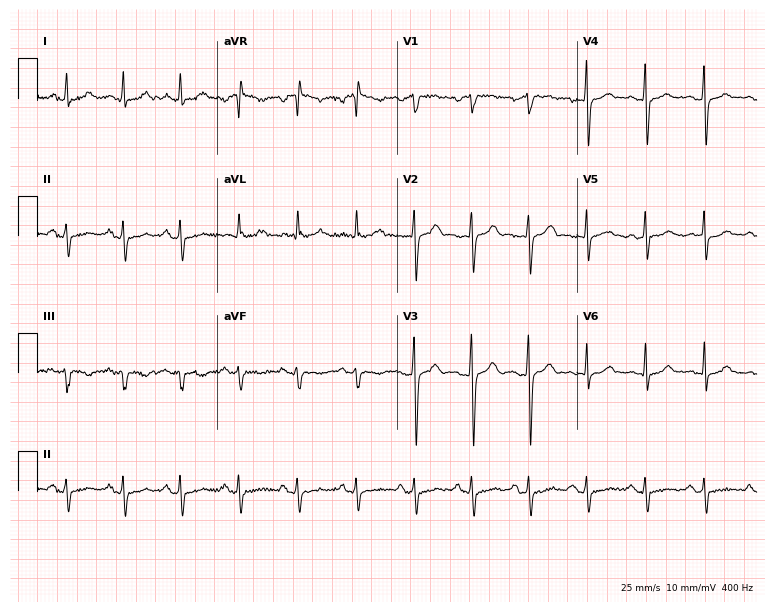
12-lead ECG from a female patient, 37 years old. Findings include sinus tachycardia (a sinus rate of 100 beats per minute or more).